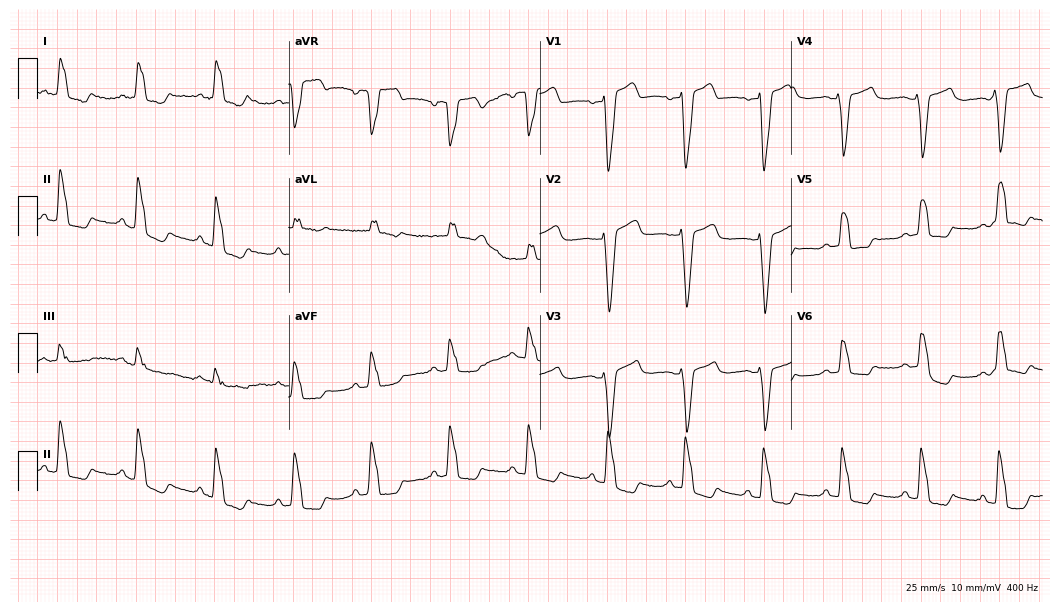
Resting 12-lead electrocardiogram (10.2-second recording at 400 Hz). Patient: a 67-year-old female. The tracing shows left bundle branch block.